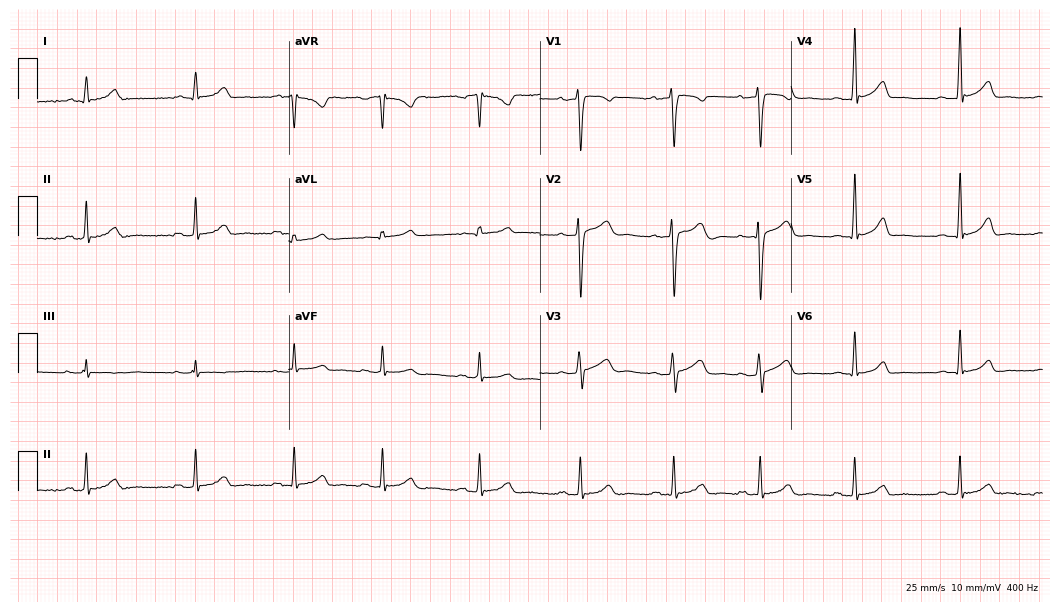
Standard 12-lead ECG recorded from a 37-year-old woman (10.2-second recording at 400 Hz). Read as a normal ECG.